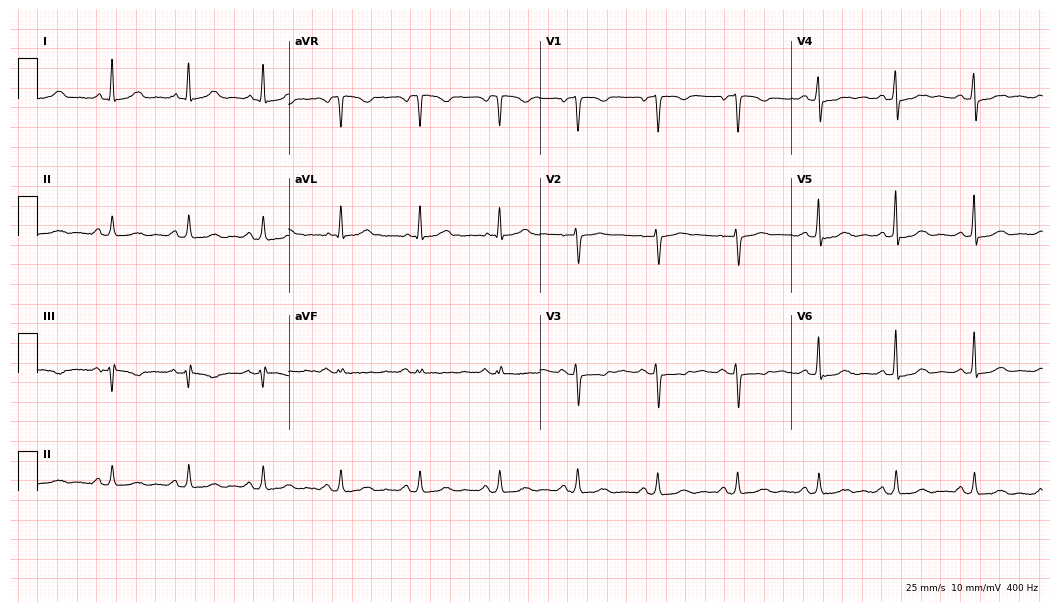
Standard 12-lead ECG recorded from a 56-year-old woman. Read as a normal ECG.